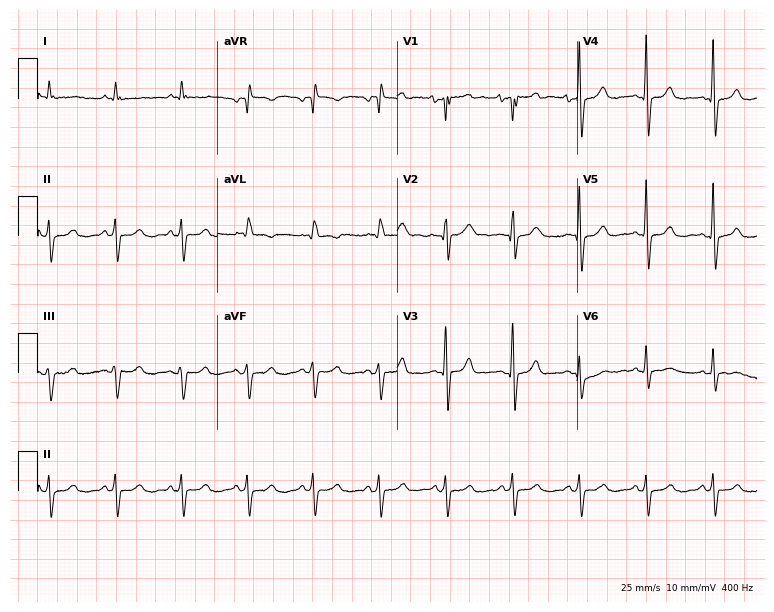
Standard 12-lead ECG recorded from a 59-year-old male patient (7.3-second recording at 400 Hz). None of these six findings is recorded: first-degree AV block, right bundle branch block, left bundle branch block, sinus bradycardia, atrial fibrillation, sinus tachycardia.